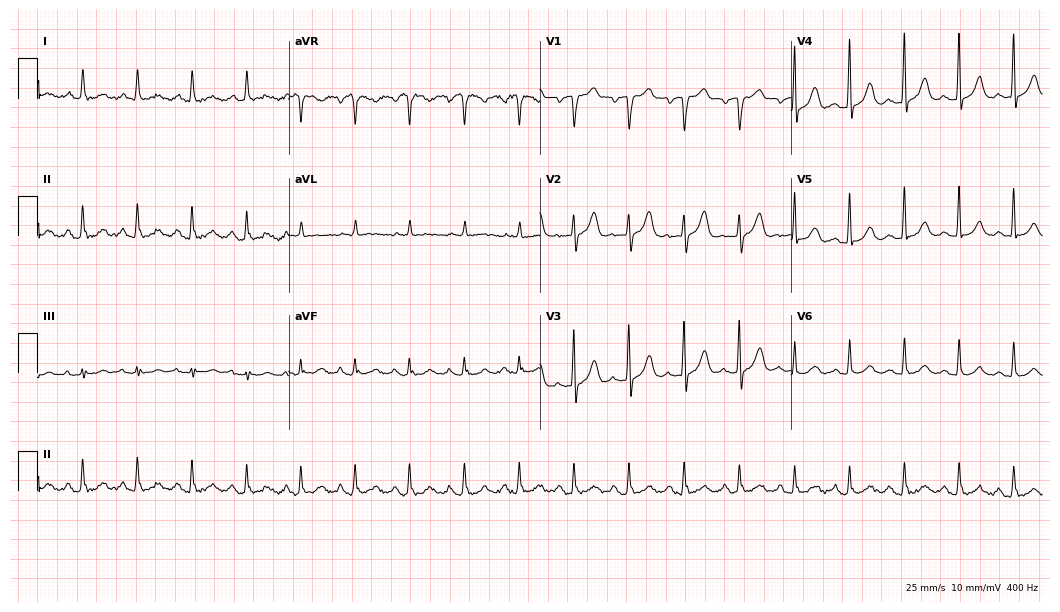
Resting 12-lead electrocardiogram (10.2-second recording at 400 Hz). Patient: an 80-year-old man. None of these six findings is recorded: first-degree AV block, right bundle branch block, left bundle branch block, sinus bradycardia, atrial fibrillation, sinus tachycardia.